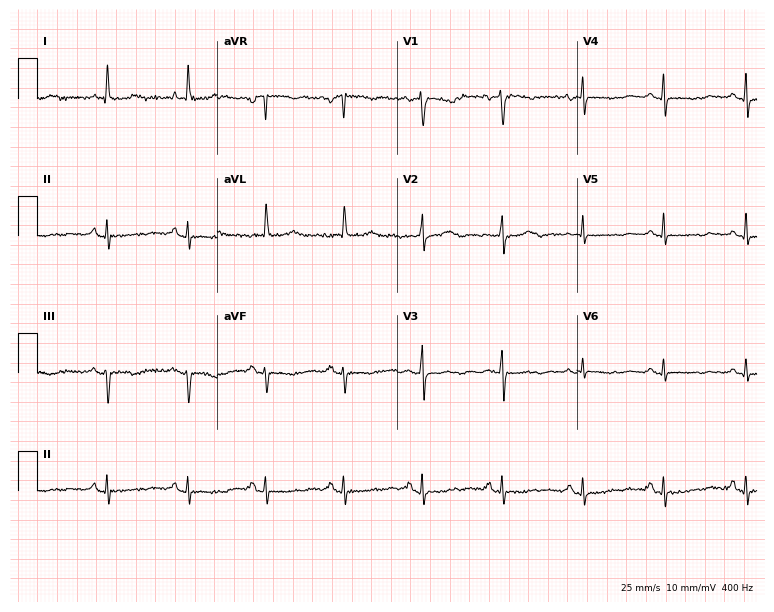
12-lead ECG from a female, 56 years old. Labelled as a normal ECG.